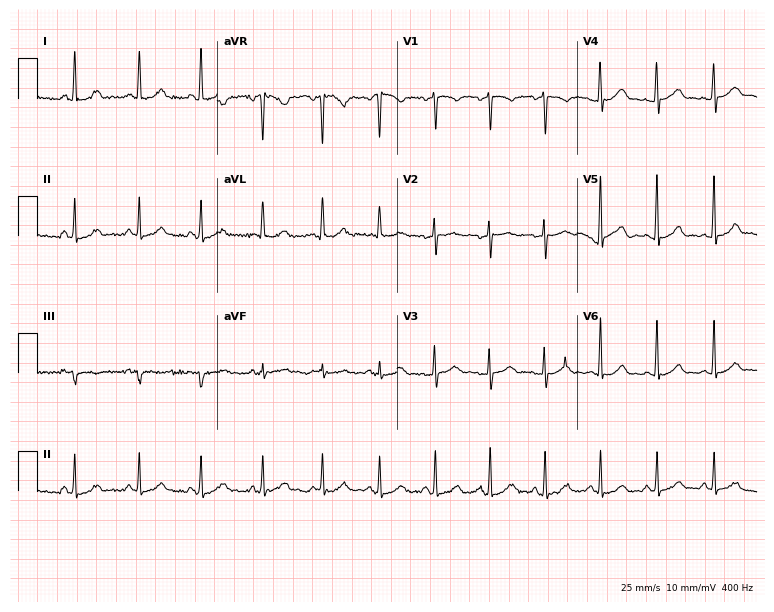
Electrocardiogram, a 39-year-old woman. Of the six screened findings (first-degree AV block, right bundle branch block, left bundle branch block, sinus bradycardia, atrial fibrillation, sinus tachycardia), none is recorded. Findings outside these six are not listed.